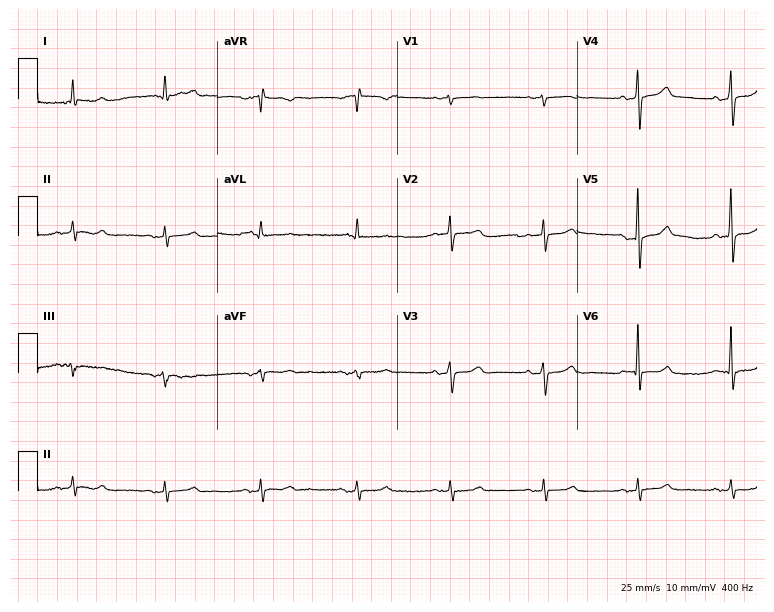
Standard 12-lead ECG recorded from an 80-year-old male (7.3-second recording at 400 Hz). Read as a normal ECG.